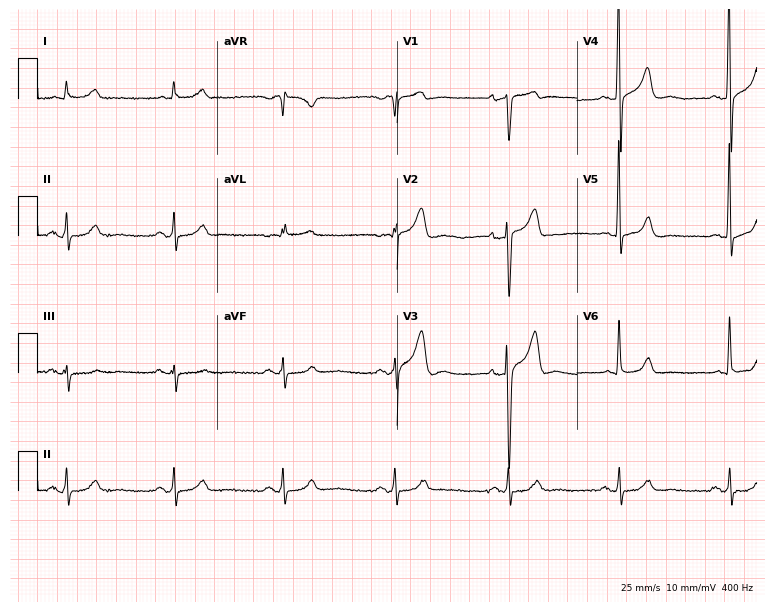
12-lead ECG from a man, 61 years old. Screened for six findings — first-degree AV block, right bundle branch block, left bundle branch block, sinus bradycardia, atrial fibrillation, sinus tachycardia — none is recorded.